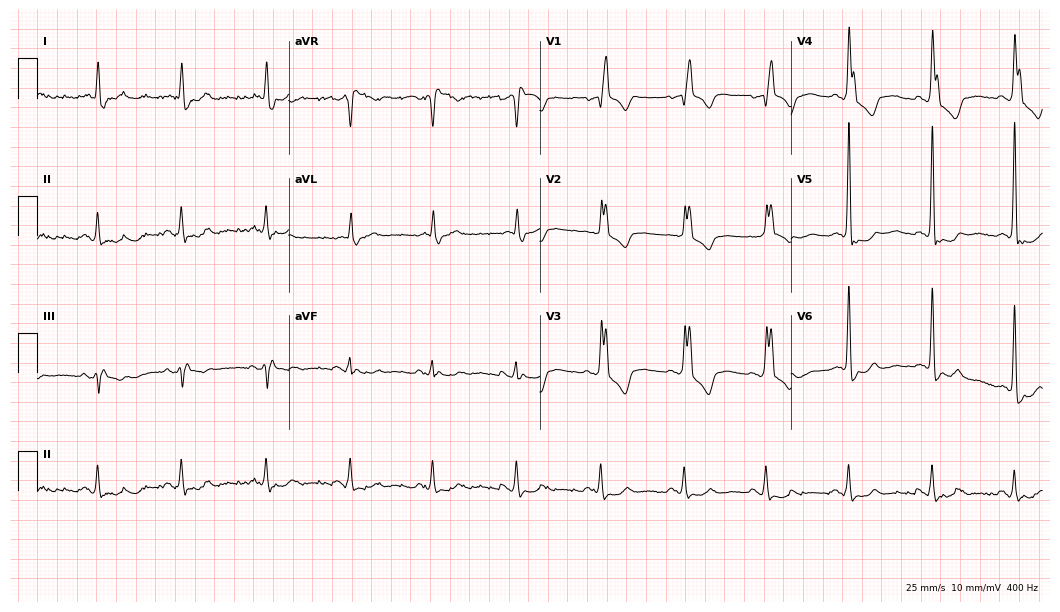
Standard 12-lead ECG recorded from an 82-year-old male (10.2-second recording at 400 Hz). The tracing shows right bundle branch block.